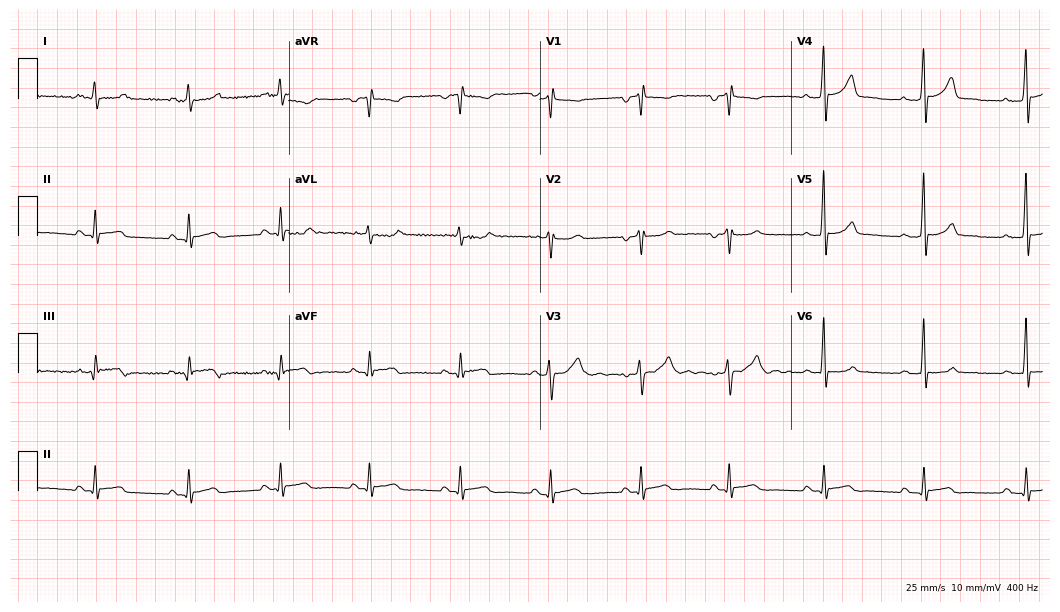
Electrocardiogram, a man, 49 years old. Of the six screened findings (first-degree AV block, right bundle branch block (RBBB), left bundle branch block (LBBB), sinus bradycardia, atrial fibrillation (AF), sinus tachycardia), none is recorded.